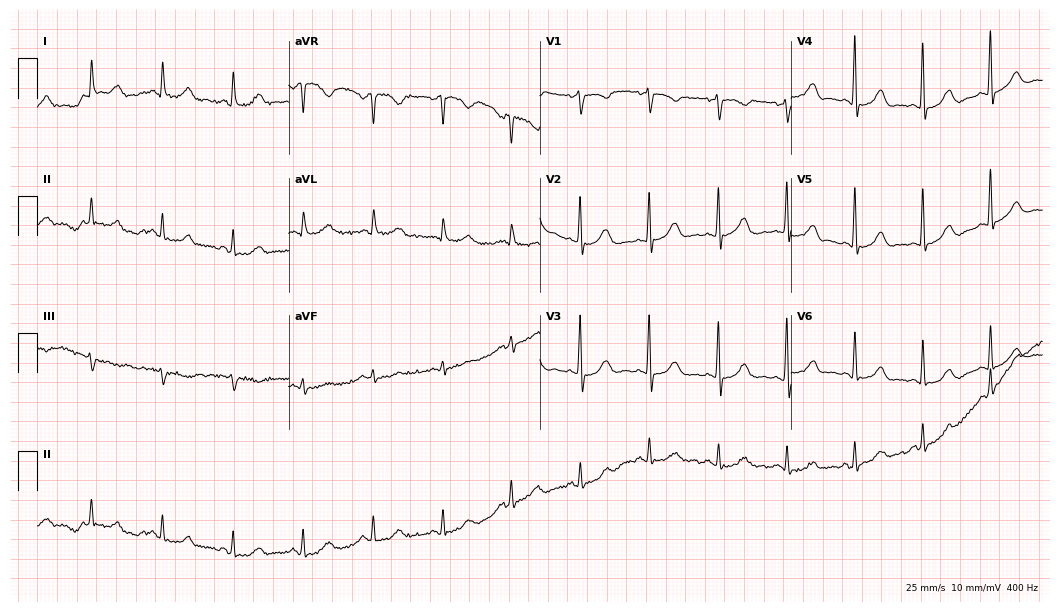
12-lead ECG from a female patient, 58 years old. No first-degree AV block, right bundle branch block, left bundle branch block, sinus bradycardia, atrial fibrillation or sinus tachycardia recorded for this tracing.